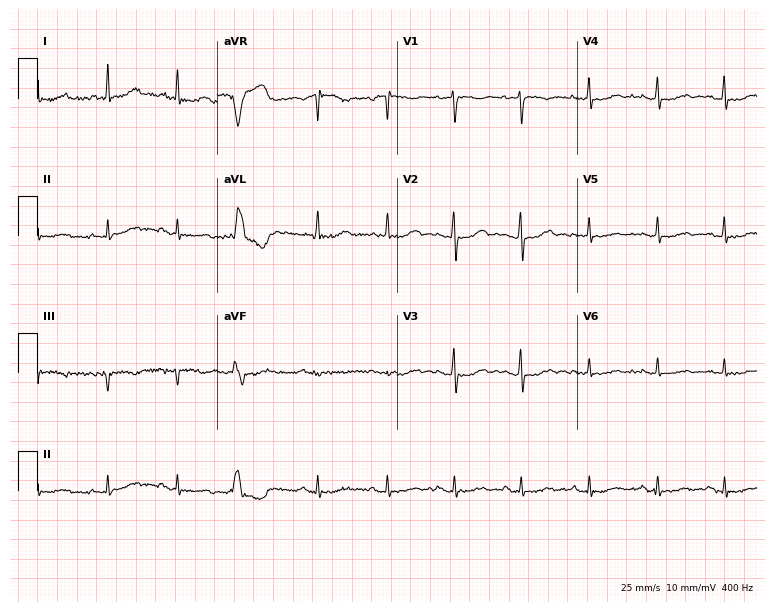
12-lead ECG from a 52-year-old female patient. No first-degree AV block, right bundle branch block, left bundle branch block, sinus bradycardia, atrial fibrillation or sinus tachycardia recorded for this tracing.